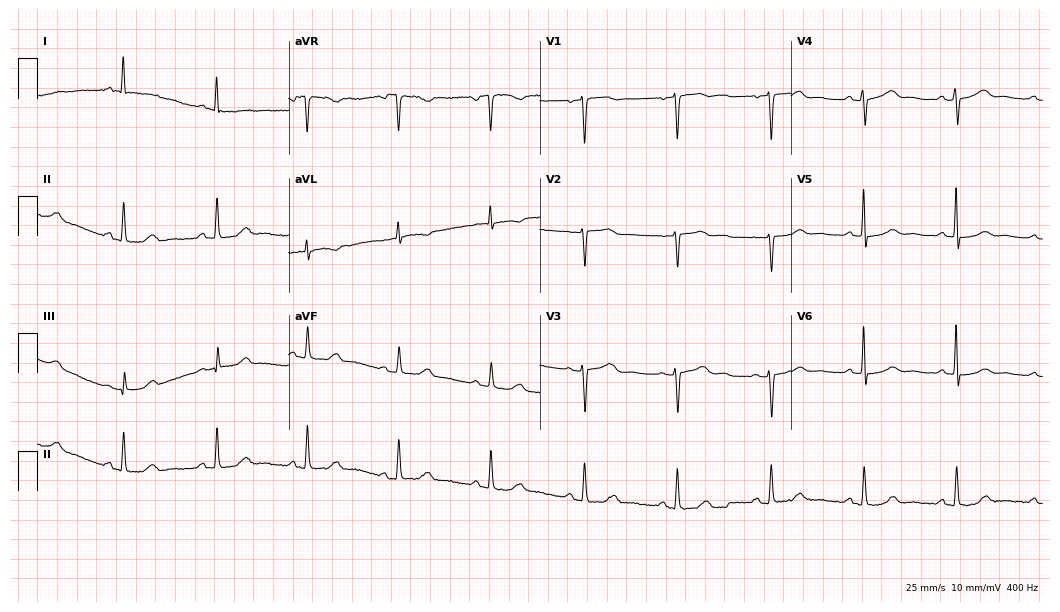
Standard 12-lead ECG recorded from a 64-year-old female patient (10.2-second recording at 400 Hz). None of these six findings is recorded: first-degree AV block, right bundle branch block, left bundle branch block, sinus bradycardia, atrial fibrillation, sinus tachycardia. Only these six findings were labelled.